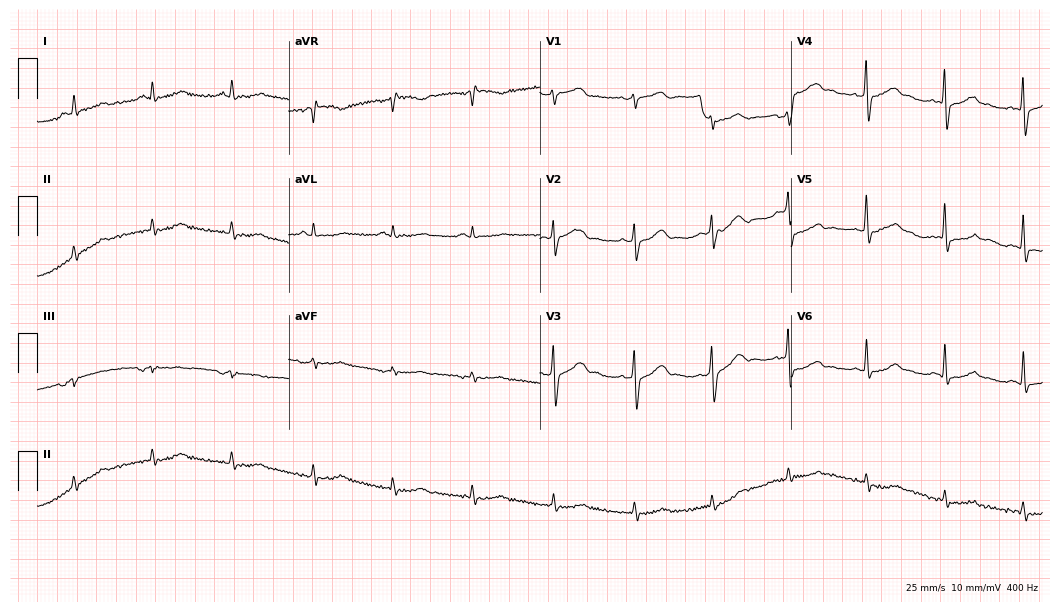
Resting 12-lead electrocardiogram (10.2-second recording at 400 Hz). Patient: a man, 63 years old. Read as a normal ECG.